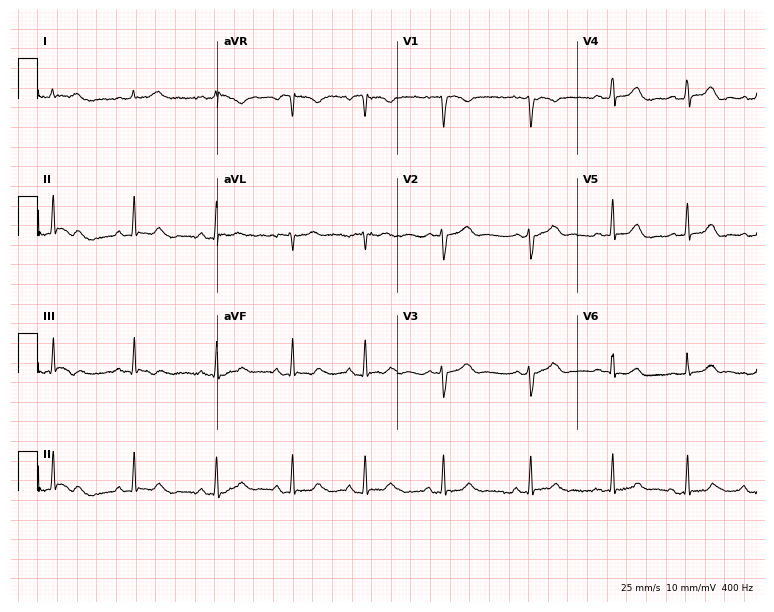
Electrocardiogram, a woman, 28 years old. Overall reading on record: normal ECG.